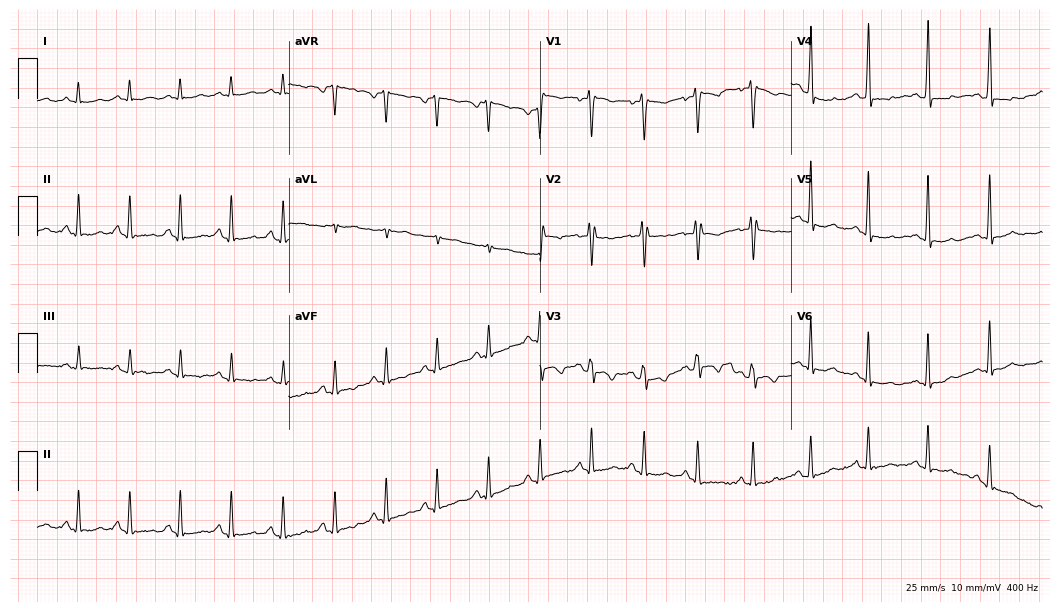
12-lead ECG (10.2-second recording at 400 Hz) from a woman, 21 years old. Findings include sinus tachycardia (a sinus rate of 100 beats per minute or more).